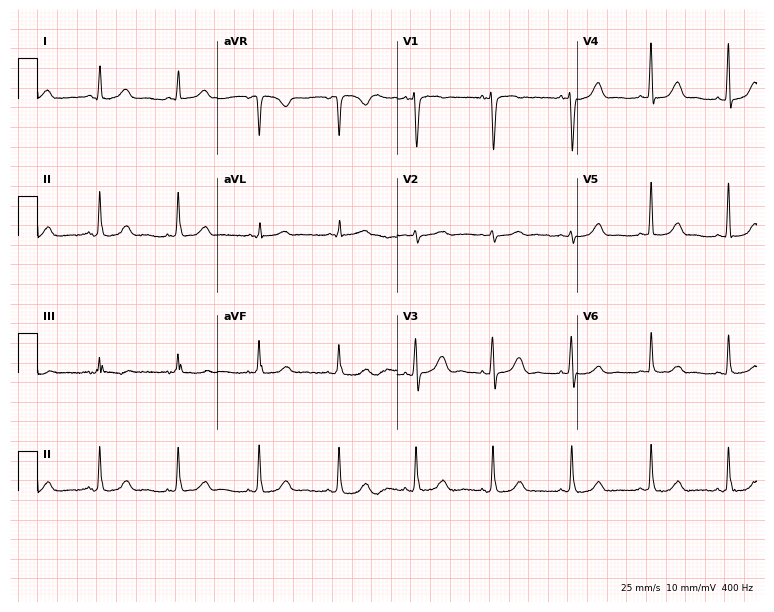
Electrocardiogram (7.3-second recording at 400 Hz), a 40-year-old female. Of the six screened findings (first-degree AV block, right bundle branch block, left bundle branch block, sinus bradycardia, atrial fibrillation, sinus tachycardia), none is recorded.